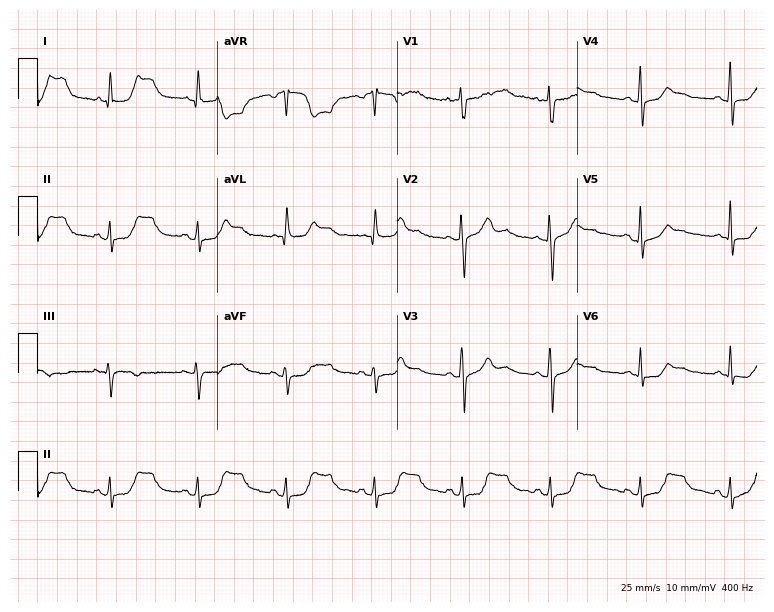
ECG — a 59-year-old woman. Screened for six findings — first-degree AV block, right bundle branch block (RBBB), left bundle branch block (LBBB), sinus bradycardia, atrial fibrillation (AF), sinus tachycardia — none is recorded.